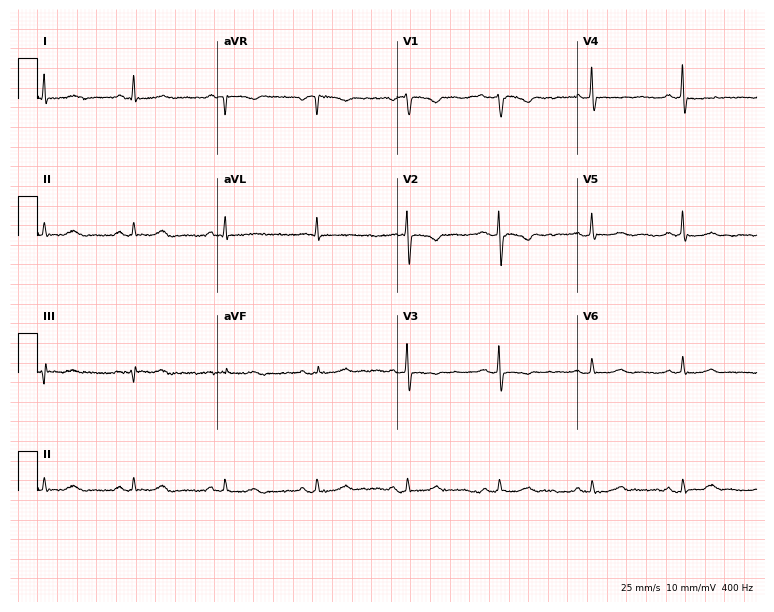
Electrocardiogram, a woman, 49 years old. Of the six screened findings (first-degree AV block, right bundle branch block (RBBB), left bundle branch block (LBBB), sinus bradycardia, atrial fibrillation (AF), sinus tachycardia), none is recorded. Other findings, if any, are not listed.